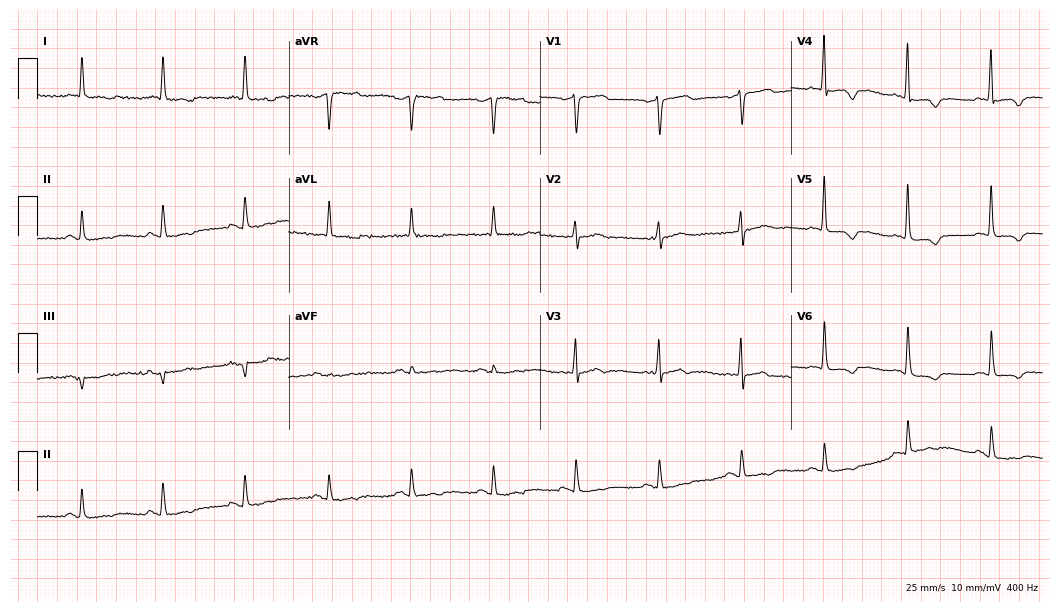
Standard 12-lead ECG recorded from a female patient, 71 years old. None of these six findings is recorded: first-degree AV block, right bundle branch block, left bundle branch block, sinus bradycardia, atrial fibrillation, sinus tachycardia.